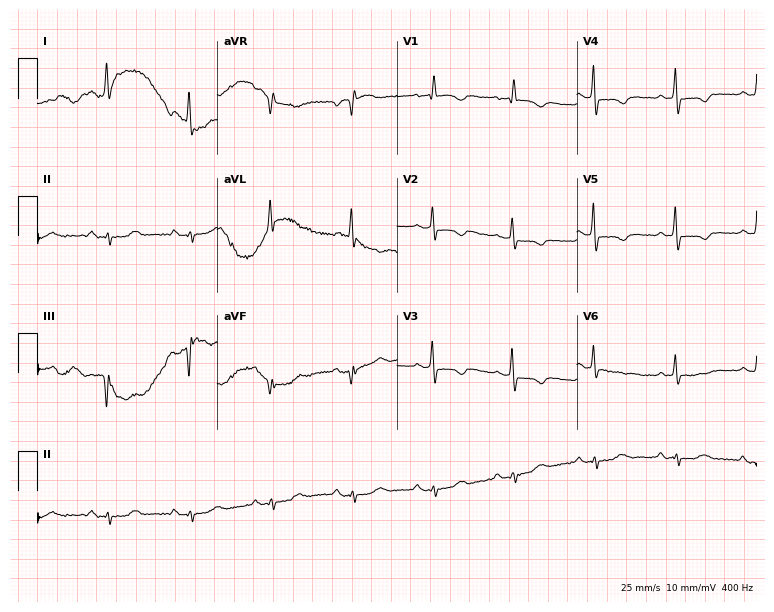
12-lead ECG from a female patient, 70 years old (7.3-second recording at 400 Hz). No first-degree AV block, right bundle branch block (RBBB), left bundle branch block (LBBB), sinus bradycardia, atrial fibrillation (AF) or sinus tachycardia recorded for this tracing.